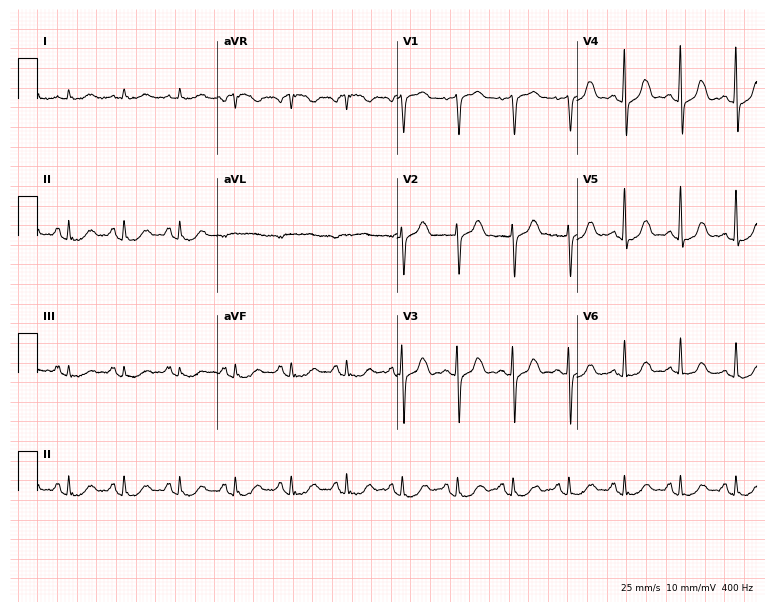
ECG — a 68-year-old woman. Screened for six findings — first-degree AV block, right bundle branch block, left bundle branch block, sinus bradycardia, atrial fibrillation, sinus tachycardia — none is recorded.